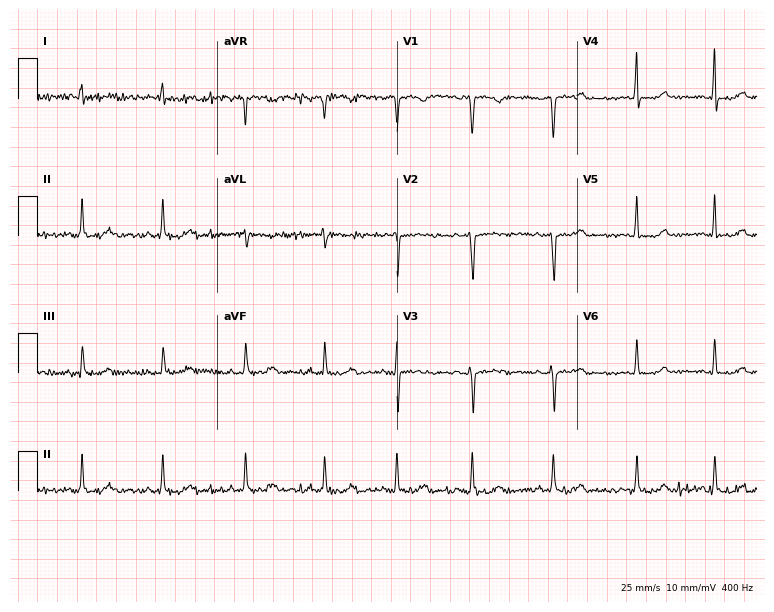
Resting 12-lead electrocardiogram (7.3-second recording at 400 Hz). Patient: a 36-year-old female. None of these six findings is recorded: first-degree AV block, right bundle branch block (RBBB), left bundle branch block (LBBB), sinus bradycardia, atrial fibrillation (AF), sinus tachycardia.